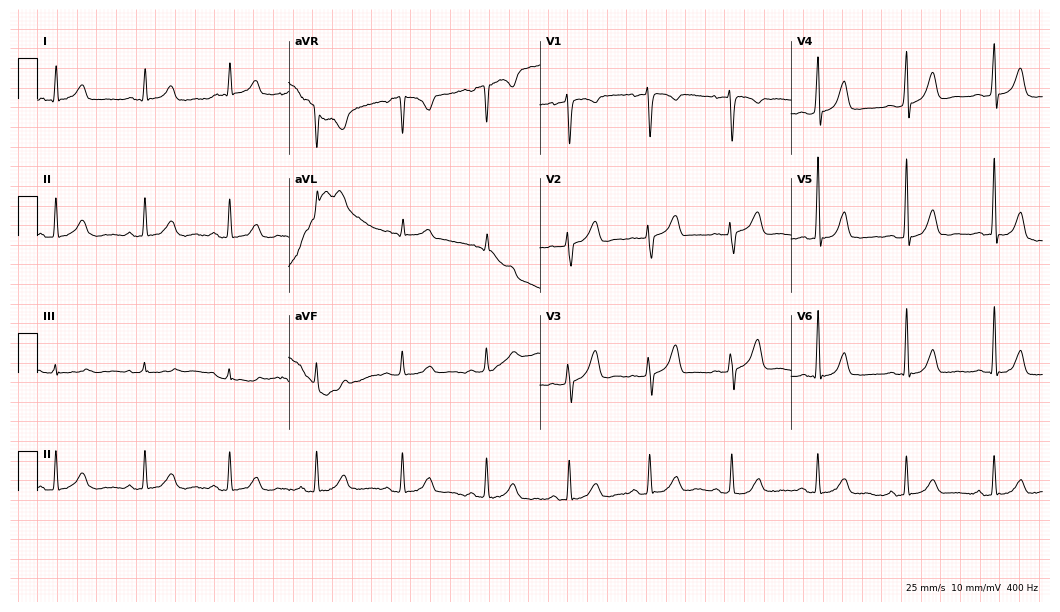
12-lead ECG from a 42-year-old female. Recorded interpretation: within normal limits.